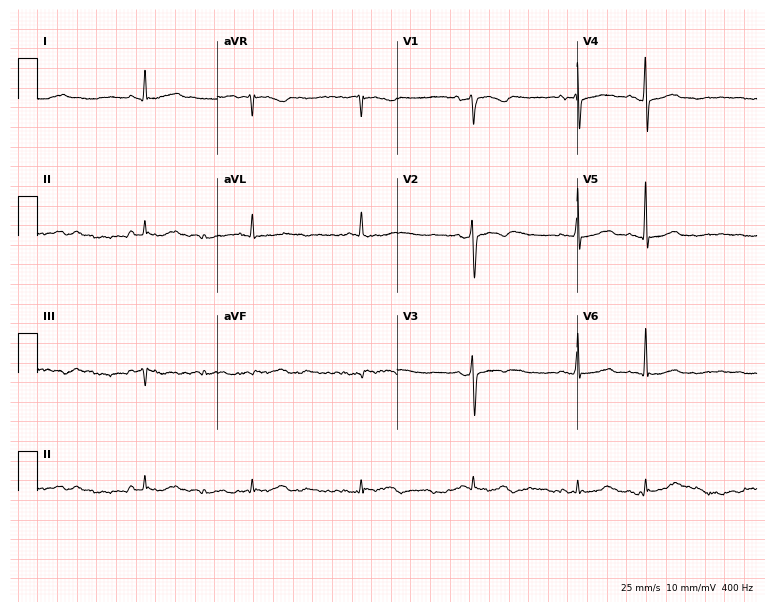
ECG (7.3-second recording at 400 Hz) — a 71-year-old male. Screened for six findings — first-degree AV block, right bundle branch block (RBBB), left bundle branch block (LBBB), sinus bradycardia, atrial fibrillation (AF), sinus tachycardia — none is recorded.